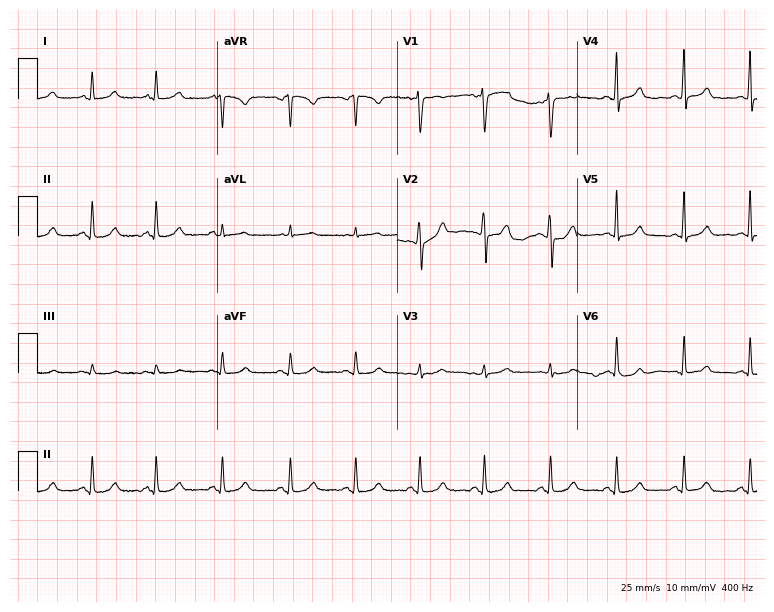
12-lead ECG (7.3-second recording at 400 Hz) from a 43-year-old woman. Screened for six findings — first-degree AV block, right bundle branch block, left bundle branch block, sinus bradycardia, atrial fibrillation, sinus tachycardia — none is recorded. Findings outside these six are not listed.